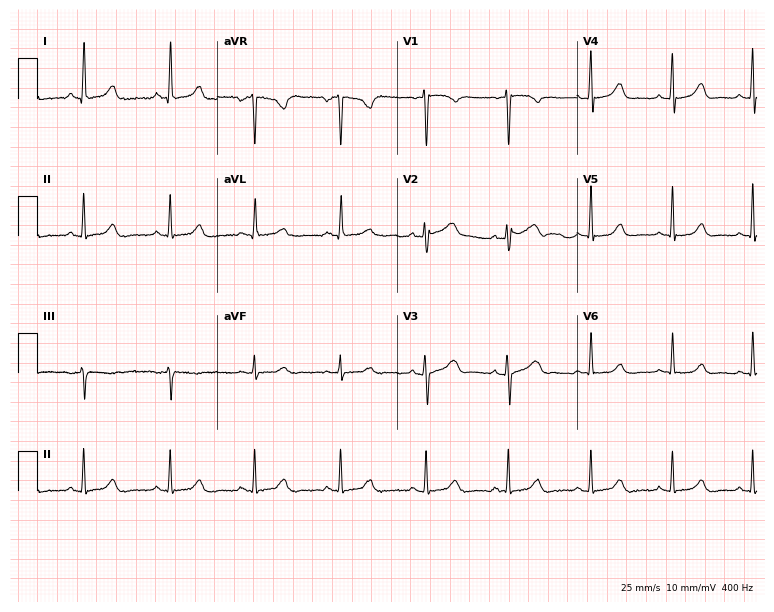
Standard 12-lead ECG recorded from a female patient, 47 years old. Read as a normal ECG.